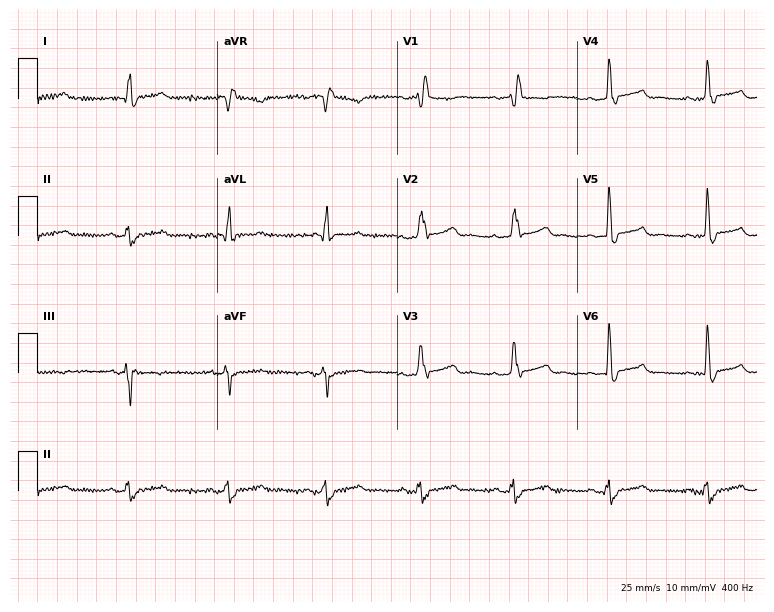
Standard 12-lead ECG recorded from a female, 73 years old (7.3-second recording at 400 Hz). The tracing shows right bundle branch block (RBBB).